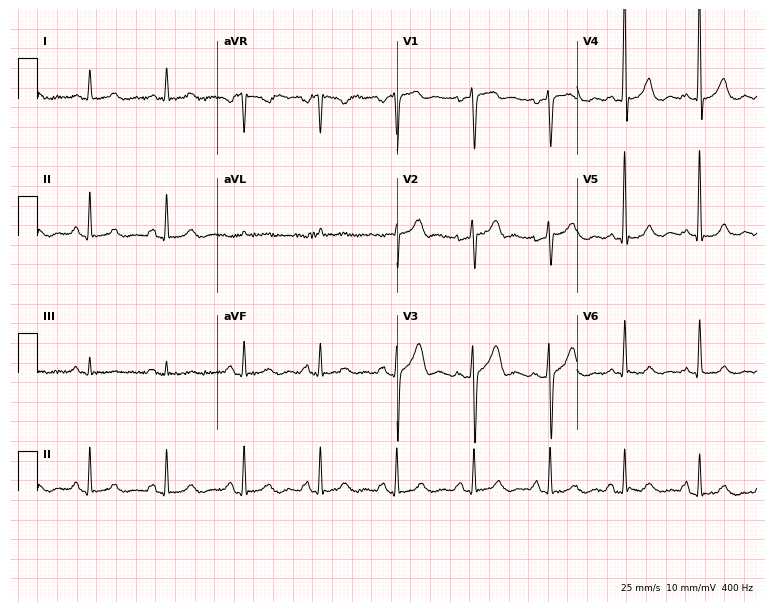
Electrocardiogram, a man, 51 years old. Overall reading on record: normal ECG.